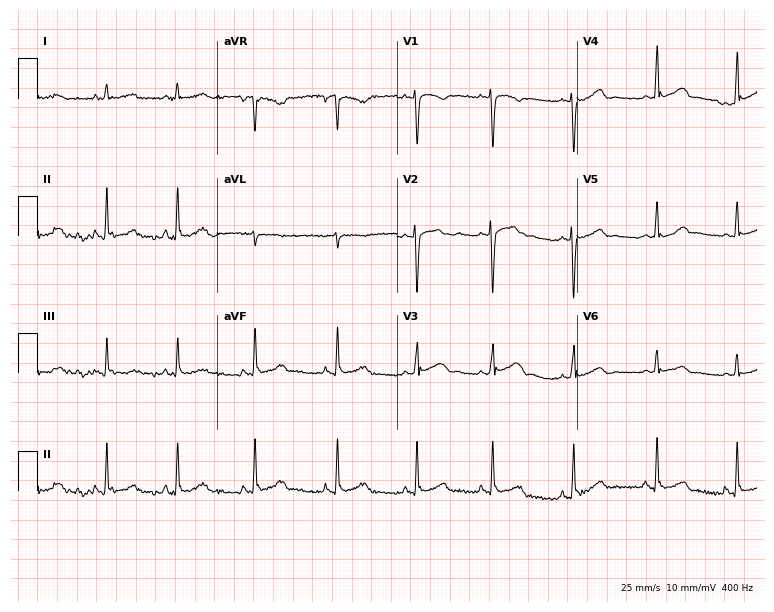
Resting 12-lead electrocardiogram (7.3-second recording at 400 Hz). Patient: a 32-year-old woman. Read as a normal ECG.